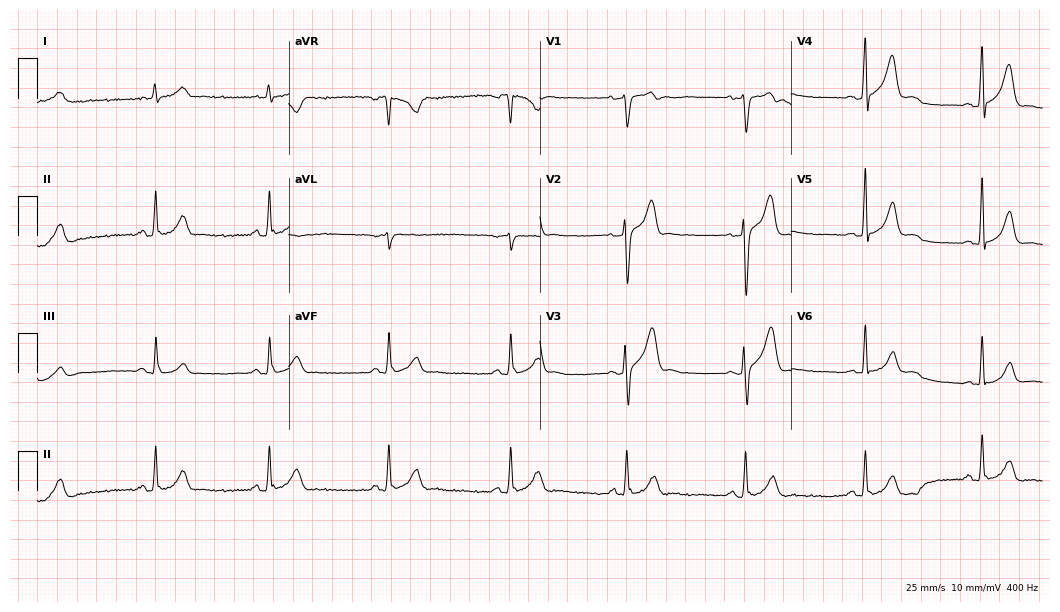
12-lead ECG from a male, 33 years old (10.2-second recording at 400 Hz). Recorded interpretation: within normal limits.